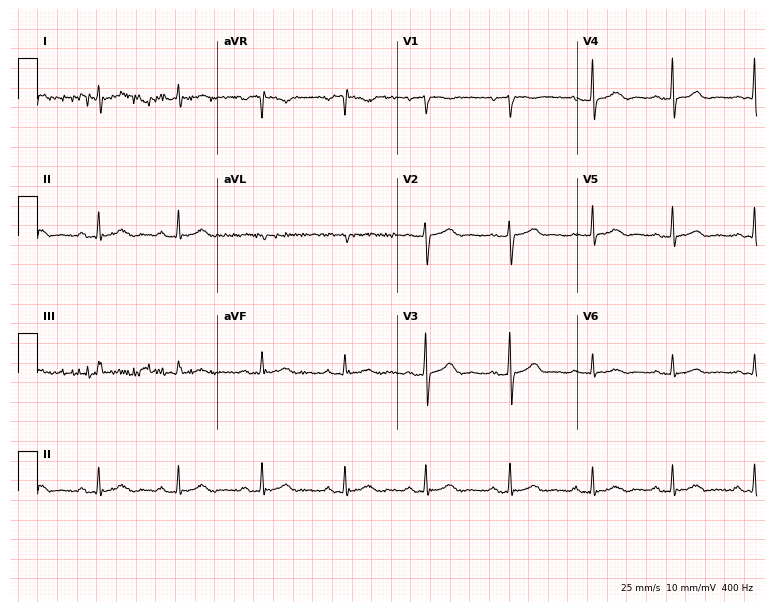
Standard 12-lead ECG recorded from a 36-year-old female (7.3-second recording at 400 Hz). Read as a normal ECG.